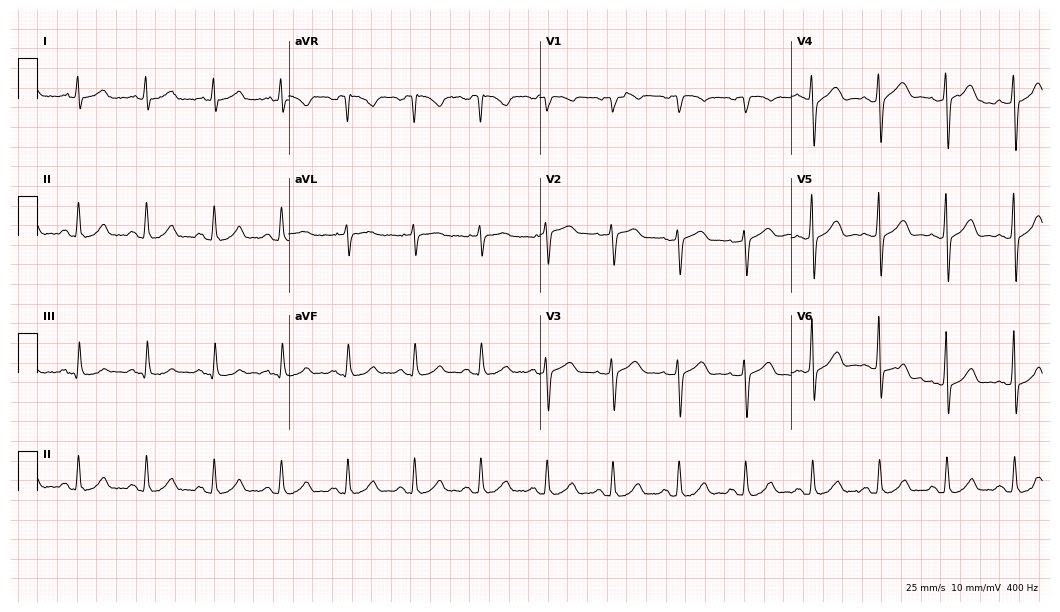
12-lead ECG from a 66-year-old man. Labelled as a normal ECG.